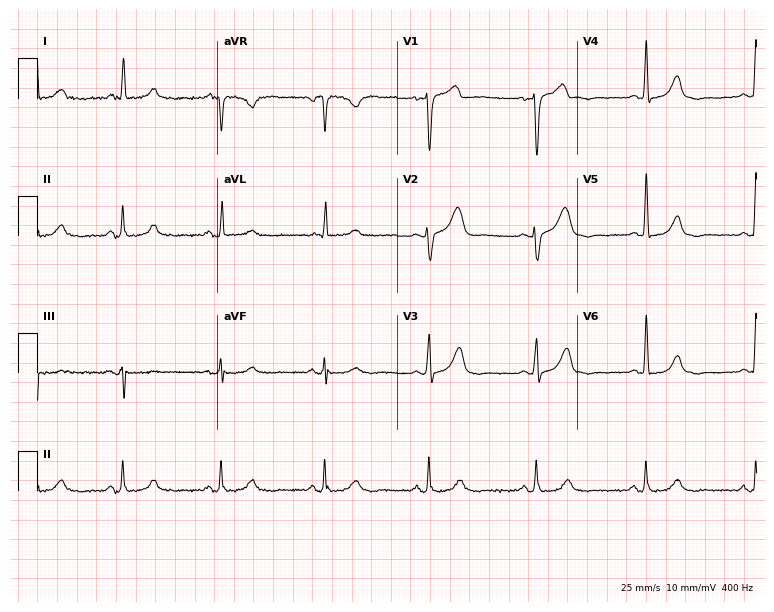
12-lead ECG from a female patient, 68 years old (7.3-second recording at 400 Hz). No first-degree AV block, right bundle branch block (RBBB), left bundle branch block (LBBB), sinus bradycardia, atrial fibrillation (AF) or sinus tachycardia recorded for this tracing.